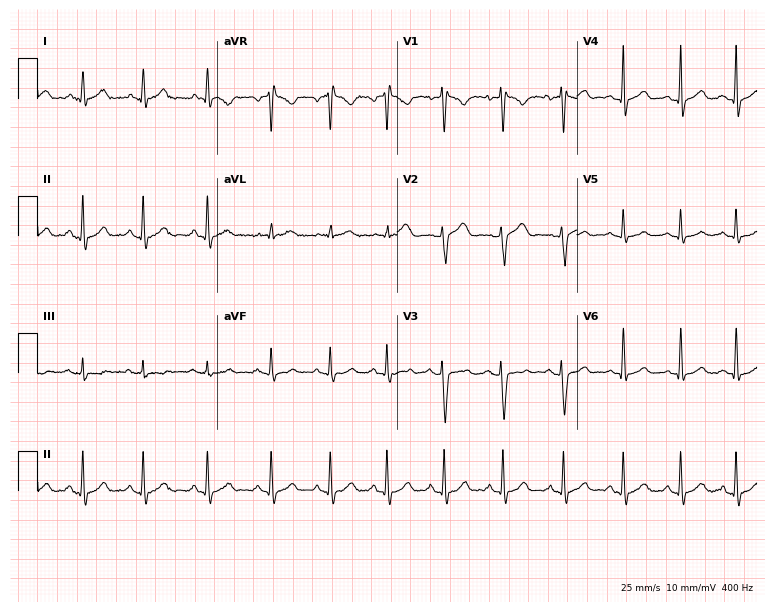
12-lead ECG (7.3-second recording at 400 Hz) from a male, 35 years old. Screened for six findings — first-degree AV block, right bundle branch block, left bundle branch block, sinus bradycardia, atrial fibrillation, sinus tachycardia — none is recorded. Other findings, if any, are not listed.